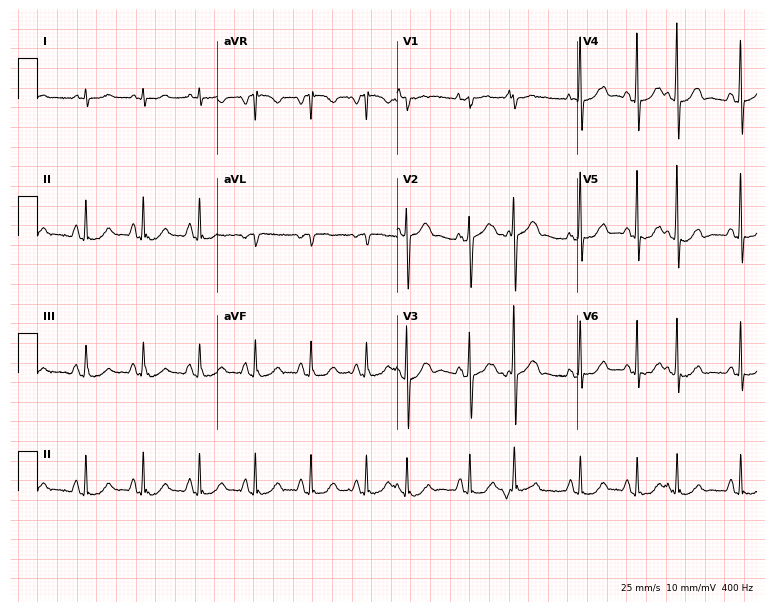
ECG — a man, 78 years old. Screened for six findings — first-degree AV block, right bundle branch block, left bundle branch block, sinus bradycardia, atrial fibrillation, sinus tachycardia — none is recorded.